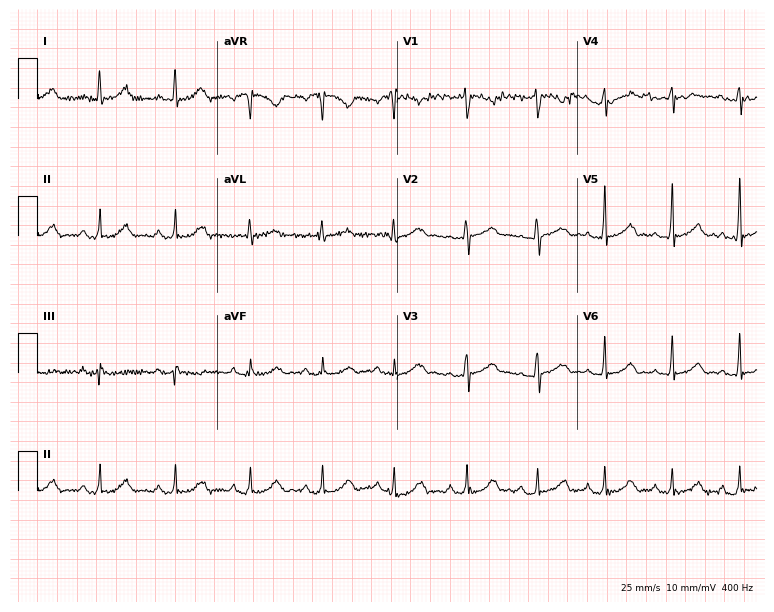
Standard 12-lead ECG recorded from a female, 30 years old. Read as a normal ECG.